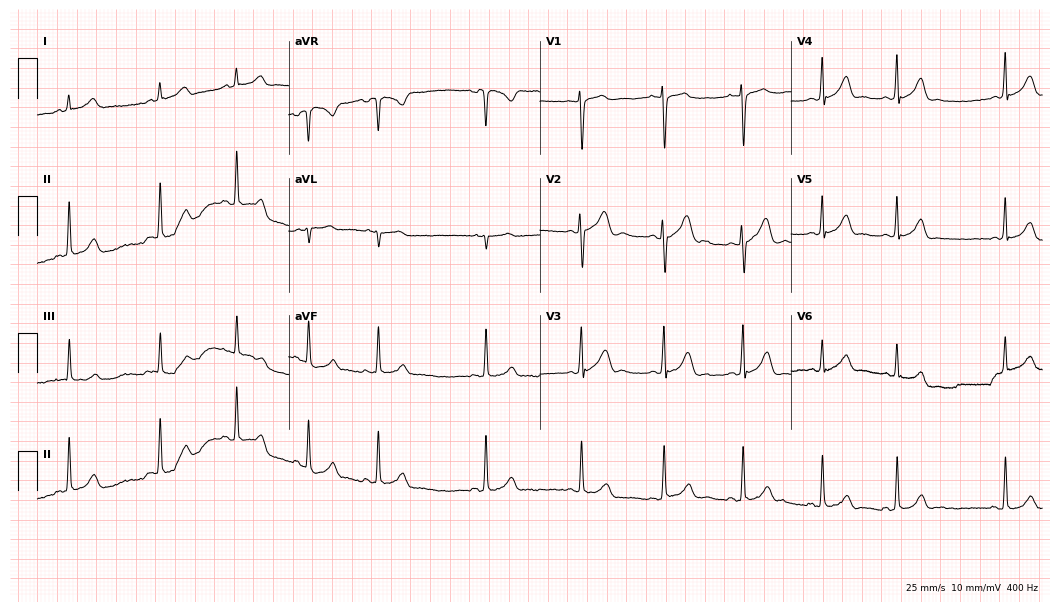
Electrocardiogram, a woman, 22 years old. Overall reading on record: normal ECG.